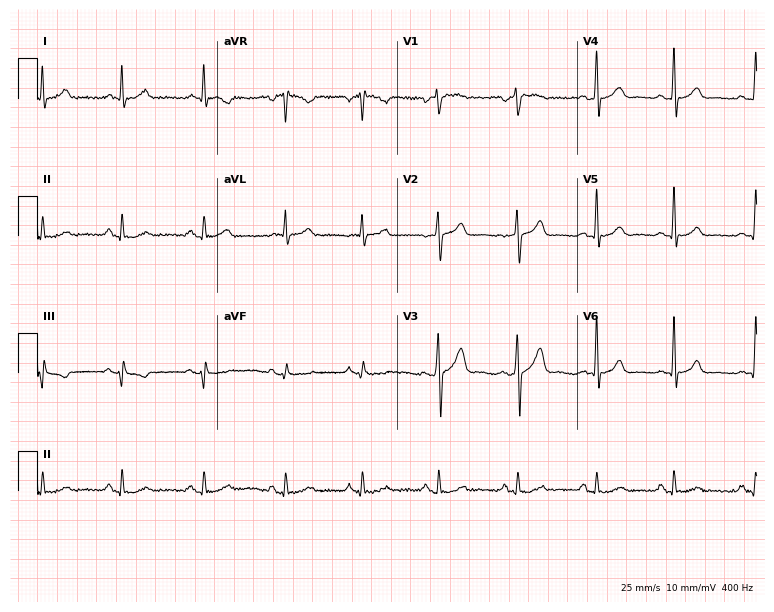
Electrocardiogram, a male patient, 36 years old. Overall reading on record: normal ECG.